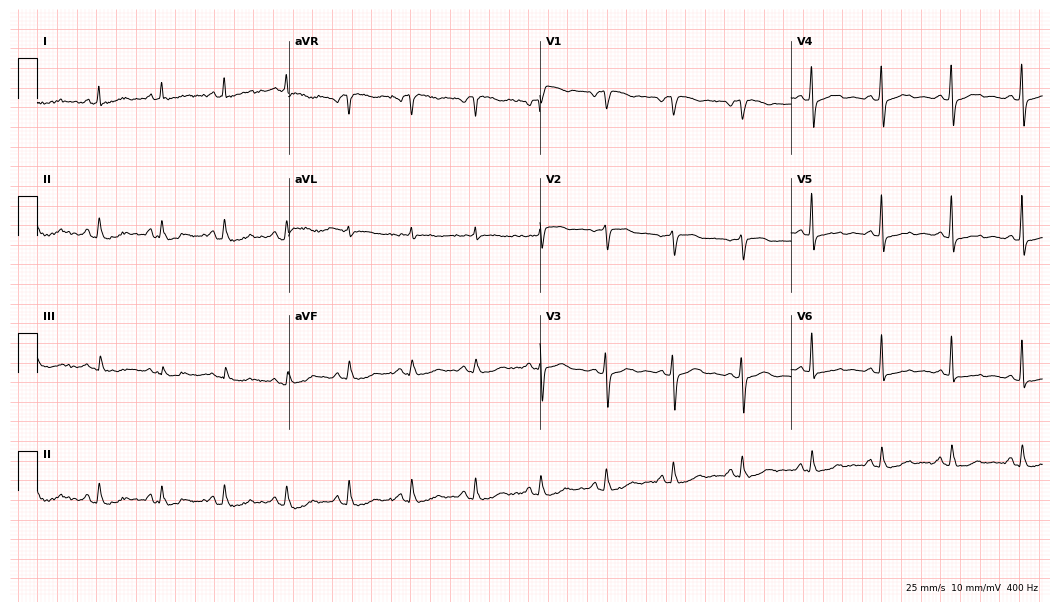
ECG (10.2-second recording at 400 Hz) — a man, 74 years old. Screened for six findings — first-degree AV block, right bundle branch block, left bundle branch block, sinus bradycardia, atrial fibrillation, sinus tachycardia — none is recorded. Only these six findings were labelled.